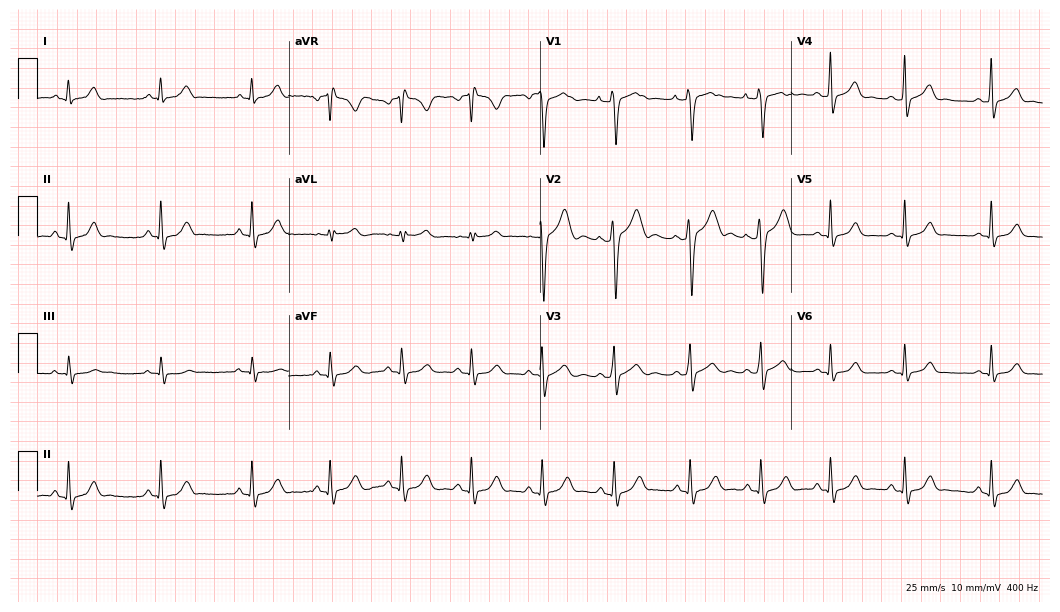
Resting 12-lead electrocardiogram. Patient: a 19-year-old man. None of these six findings is recorded: first-degree AV block, right bundle branch block, left bundle branch block, sinus bradycardia, atrial fibrillation, sinus tachycardia. Other findings, if any, are not listed.